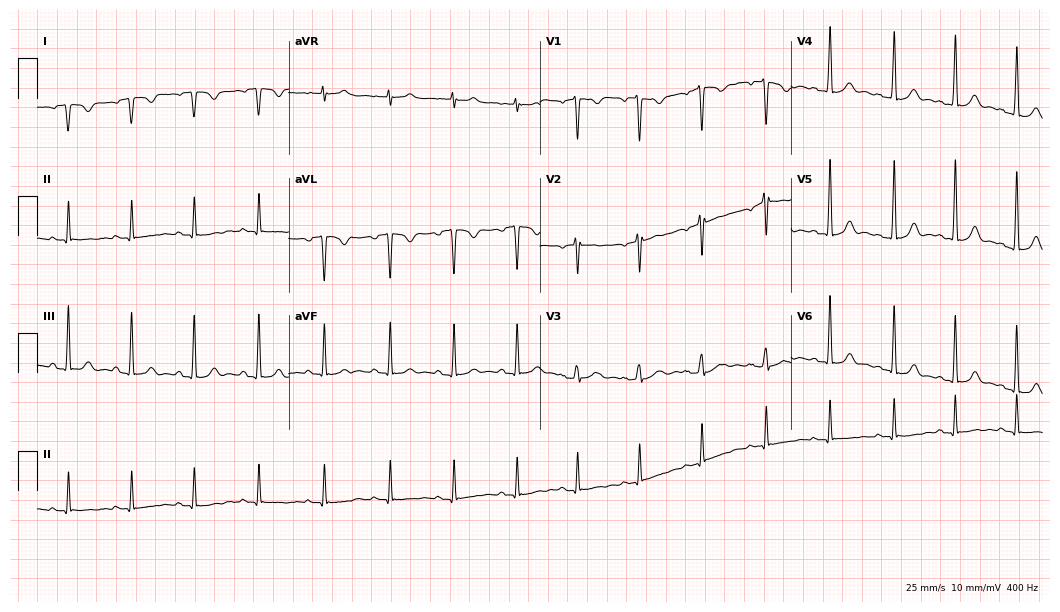
12-lead ECG (10.2-second recording at 400 Hz) from a female patient, 28 years old. Screened for six findings — first-degree AV block, right bundle branch block (RBBB), left bundle branch block (LBBB), sinus bradycardia, atrial fibrillation (AF), sinus tachycardia — none is recorded. Findings outside these six are not listed.